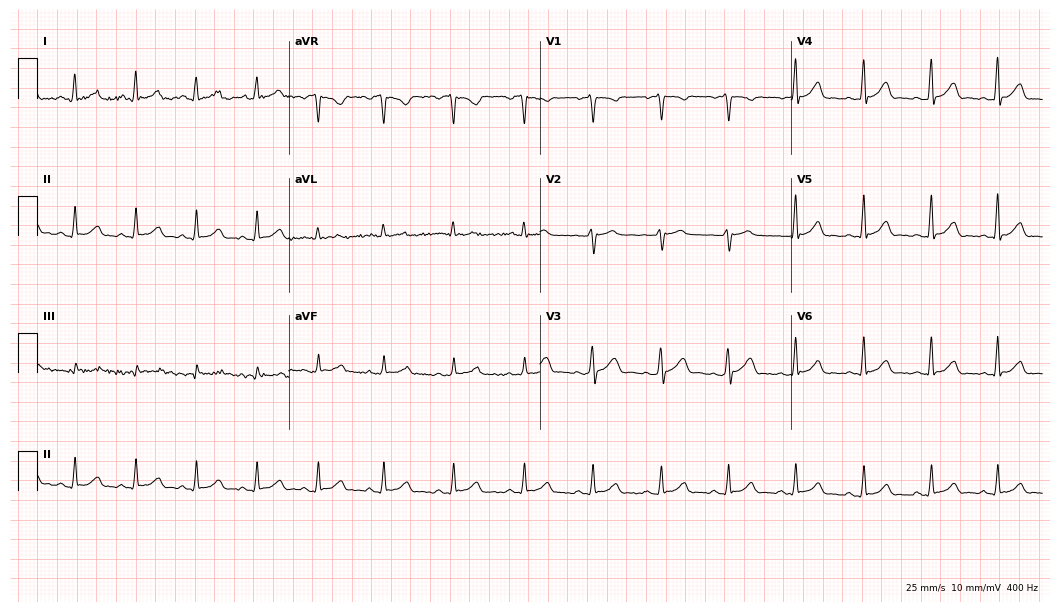
ECG — a 41-year-old male. Screened for six findings — first-degree AV block, right bundle branch block (RBBB), left bundle branch block (LBBB), sinus bradycardia, atrial fibrillation (AF), sinus tachycardia — none is recorded. Findings outside these six are not listed.